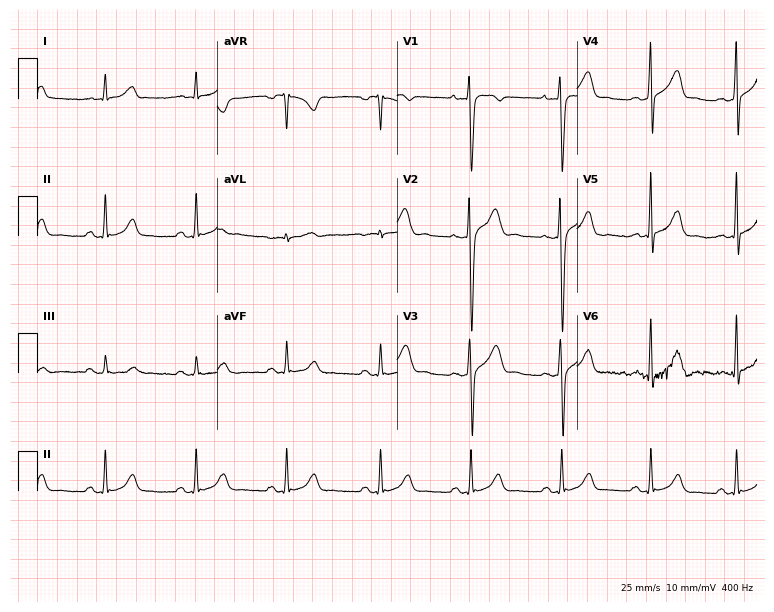
12-lead ECG (7.3-second recording at 400 Hz) from a male, 26 years old. Labelled as a normal ECG.